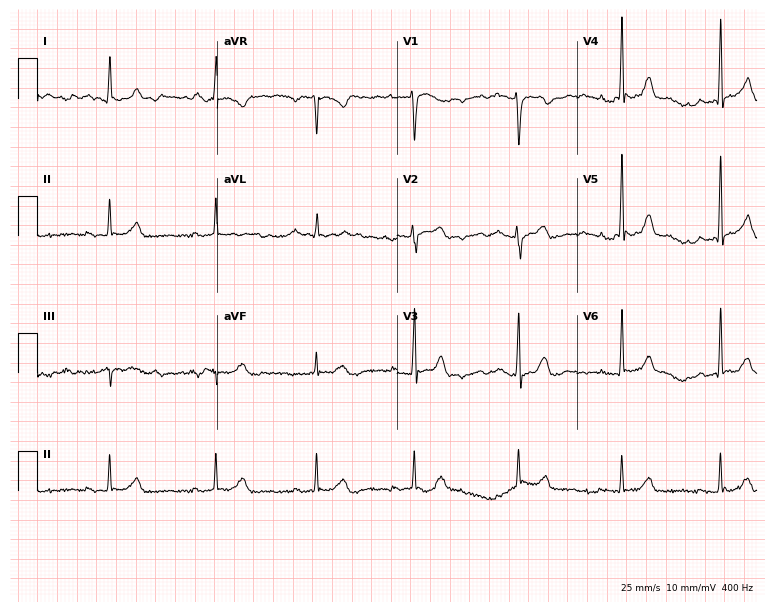
Standard 12-lead ECG recorded from a female, 56 years old (7.3-second recording at 400 Hz). Read as a normal ECG.